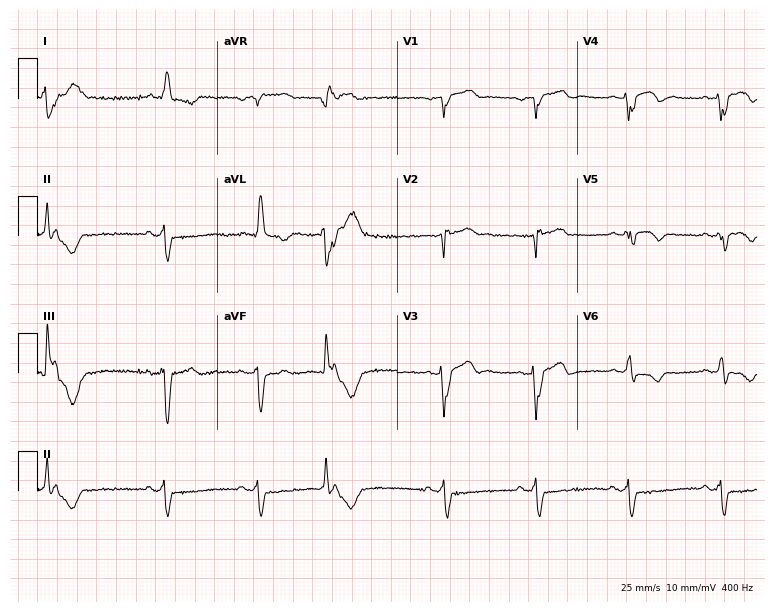
Electrocardiogram (7.3-second recording at 400 Hz), a male, 82 years old. Interpretation includes right bundle branch block.